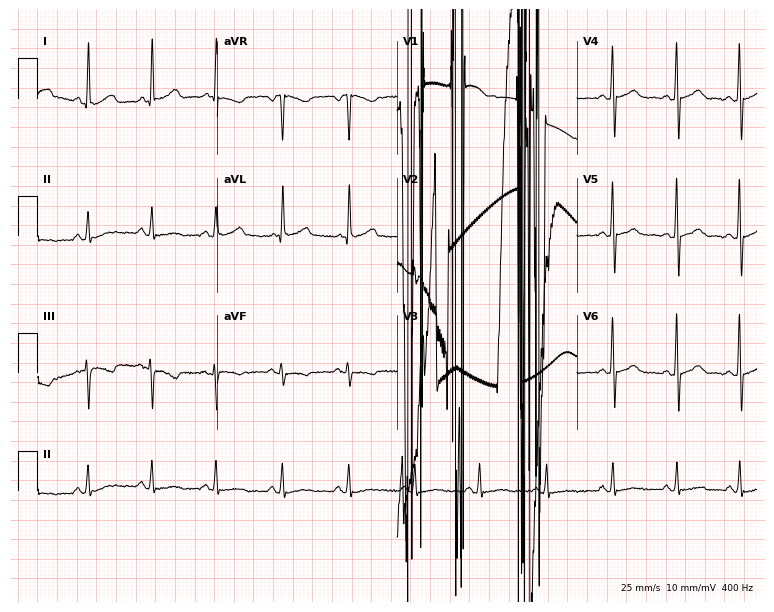
Electrocardiogram (7.3-second recording at 400 Hz), a 42-year-old woman. Of the six screened findings (first-degree AV block, right bundle branch block (RBBB), left bundle branch block (LBBB), sinus bradycardia, atrial fibrillation (AF), sinus tachycardia), none is recorded. Findings outside these six are not listed.